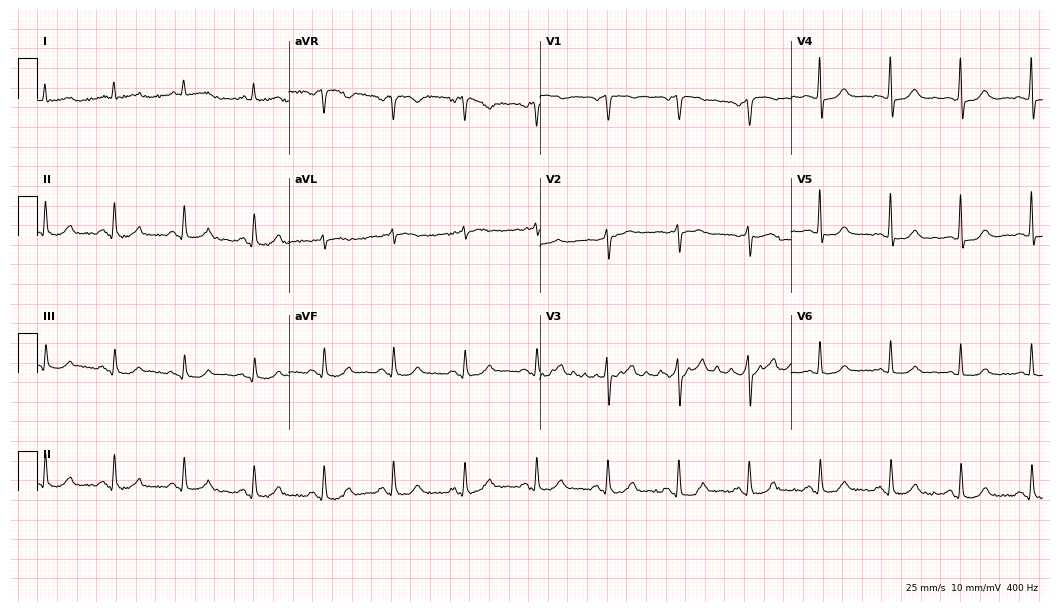
12-lead ECG from a 66-year-old male. Recorded interpretation: within normal limits.